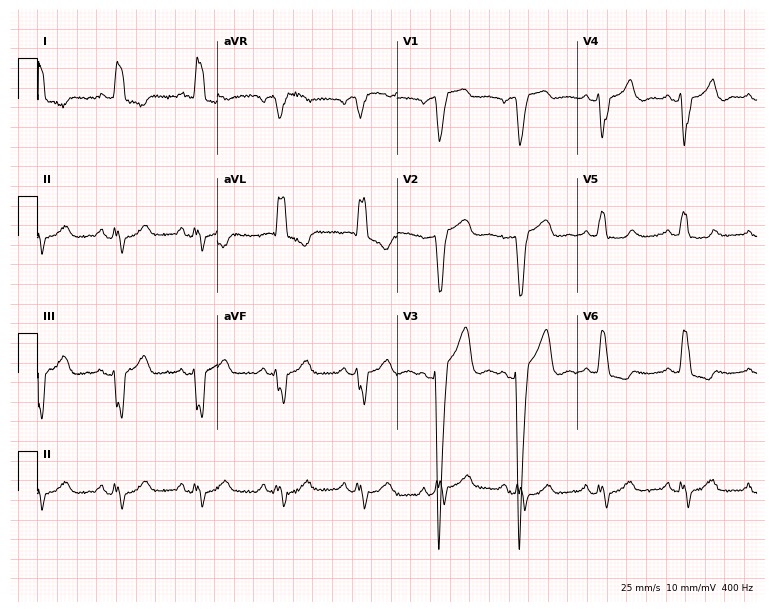
12-lead ECG from a 63-year-old female patient. Findings include left bundle branch block.